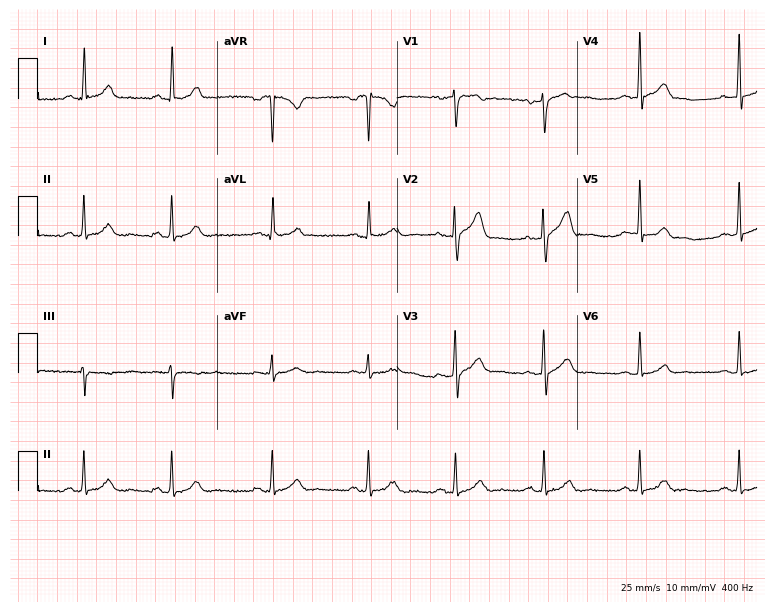
Standard 12-lead ECG recorded from a 35-year-old male. Read as a normal ECG.